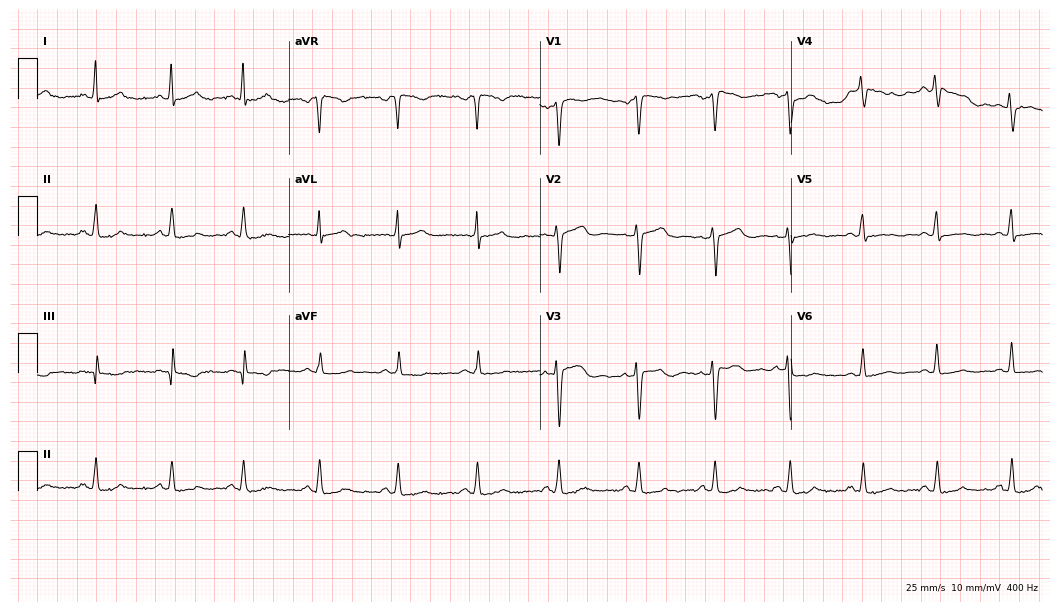
Resting 12-lead electrocardiogram. Patient: a female, 49 years old. None of these six findings is recorded: first-degree AV block, right bundle branch block, left bundle branch block, sinus bradycardia, atrial fibrillation, sinus tachycardia.